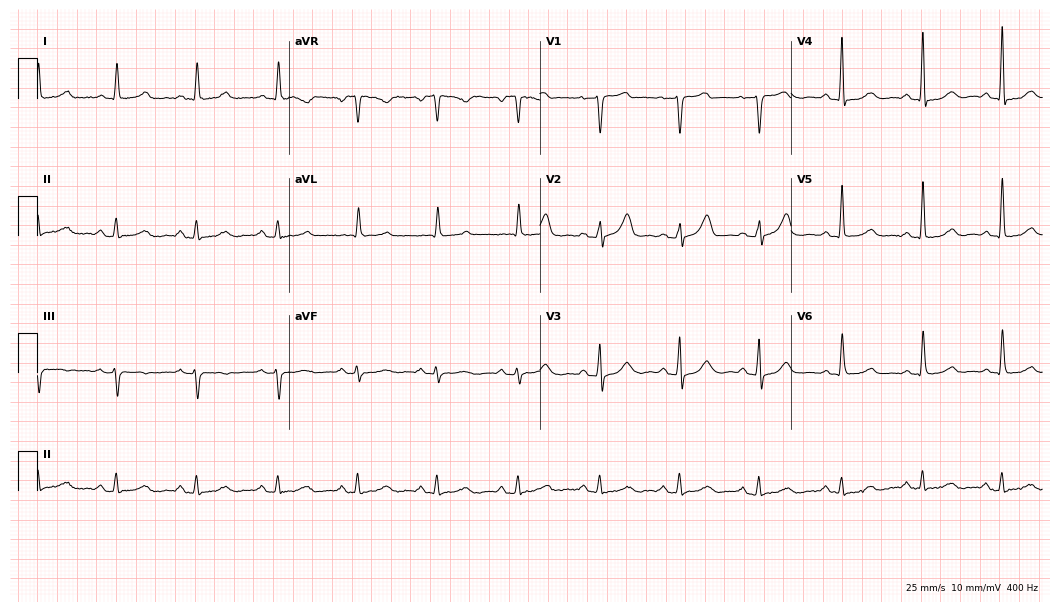
ECG — a female, 83 years old. Screened for six findings — first-degree AV block, right bundle branch block, left bundle branch block, sinus bradycardia, atrial fibrillation, sinus tachycardia — none is recorded. Only these six findings were labelled.